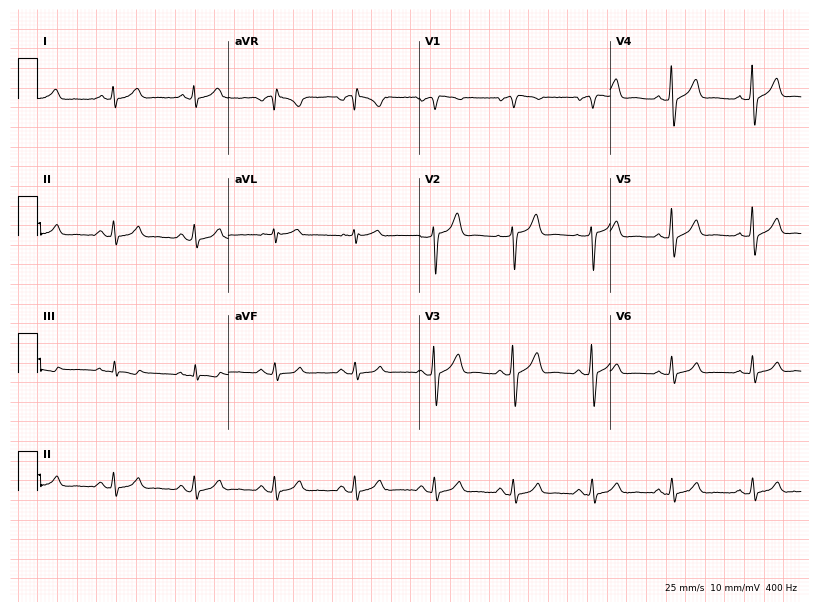
ECG (7.8-second recording at 400 Hz) — a 52-year-old male patient. Labelled as a normal ECG.